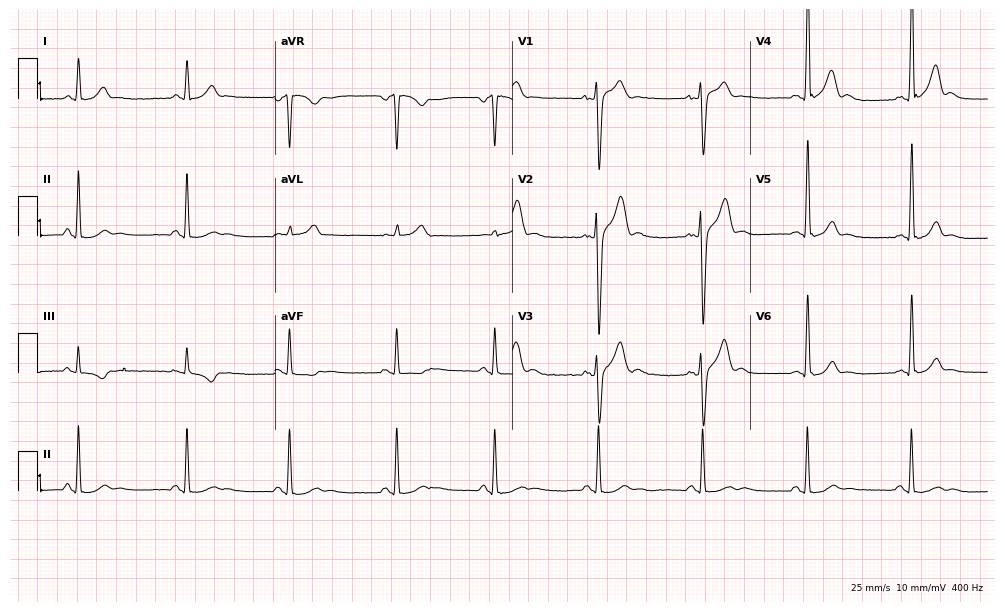
Electrocardiogram (9.7-second recording at 400 Hz), a 27-year-old female. Overall reading on record: normal ECG.